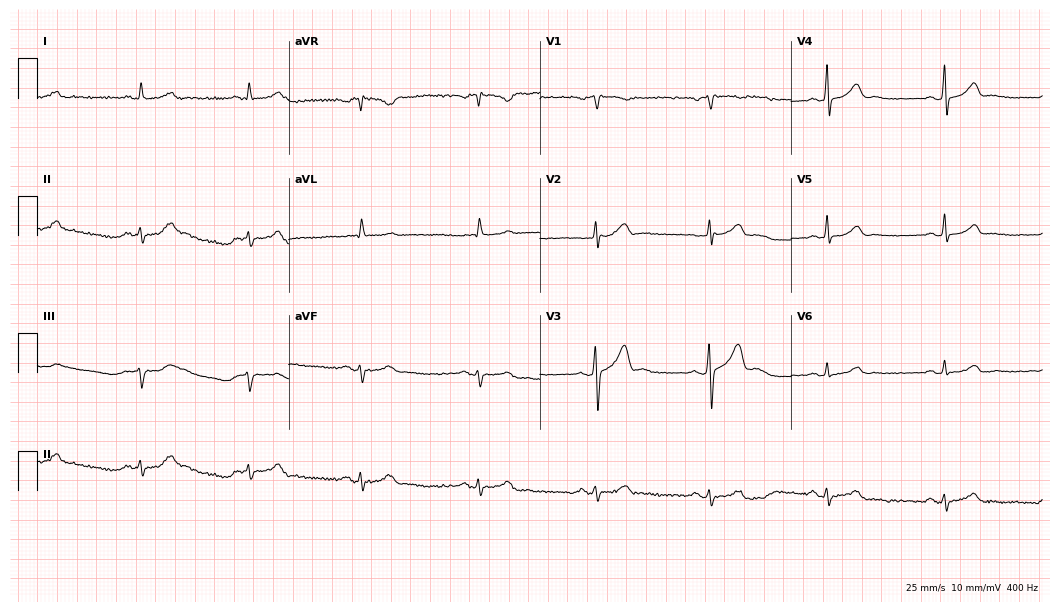
12-lead ECG (10.2-second recording at 400 Hz) from a 54-year-old male patient. Screened for six findings — first-degree AV block, right bundle branch block, left bundle branch block, sinus bradycardia, atrial fibrillation, sinus tachycardia — none is recorded.